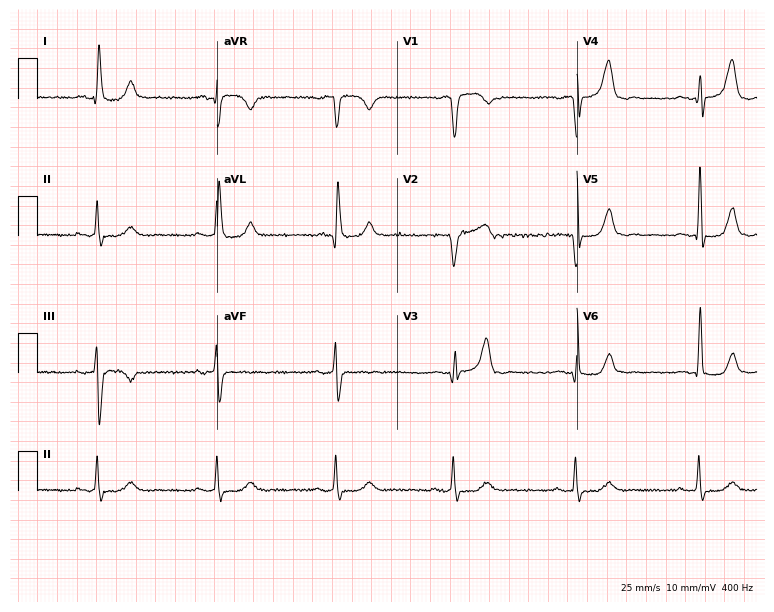
Resting 12-lead electrocardiogram. Patient: a female, 67 years old. None of these six findings is recorded: first-degree AV block, right bundle branch block, left bundle branch block, sinus bradycardia, atrial fibrillation, sinus tachycardia. Other findings, if any, are not listed.